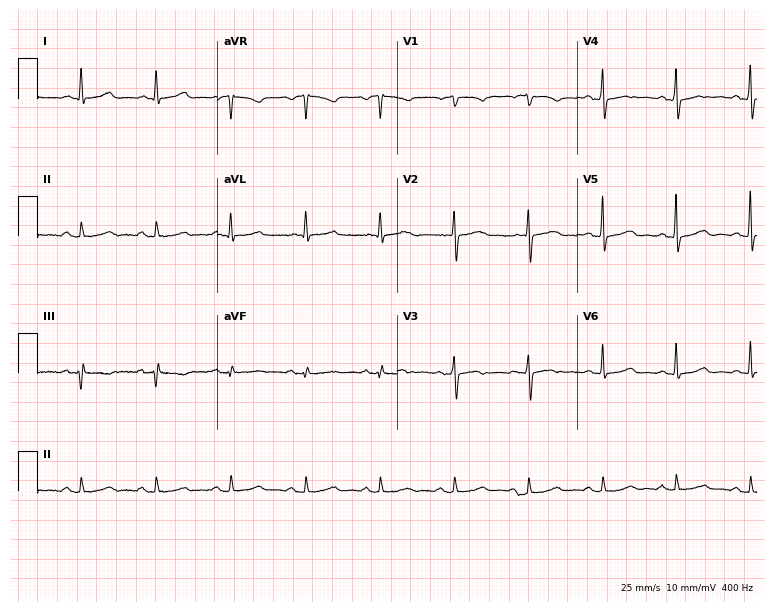
Standard 12-lead ECG recorded from a female, 72 years old (7.3-second recording at 400 Hz). None of these six findings is recorded: first-degree AV block, right bundle branch block, left bundle branch block, sinus bradycardia, atrial fibrillation, sinus tachycardia.